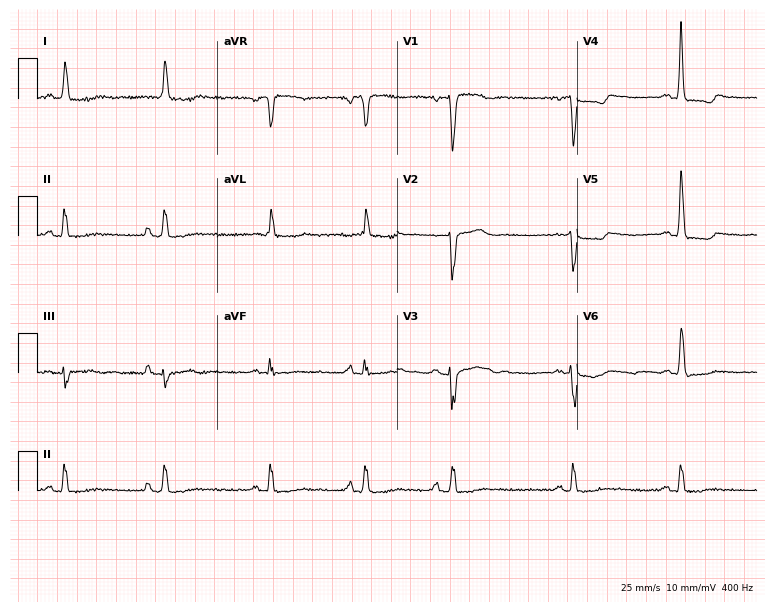
Electrocardiogram (7.3-second recording at 400 Hz), a 74-year-old female. Of the six screened findings (first-degree AV block, right bundle branch block (RBBB), left bundle branch block (LBBB), sinus bradycardia, atrial fibrillation (AF), sinus tachycardia), none is recorded. Findings outside these six are not listed.